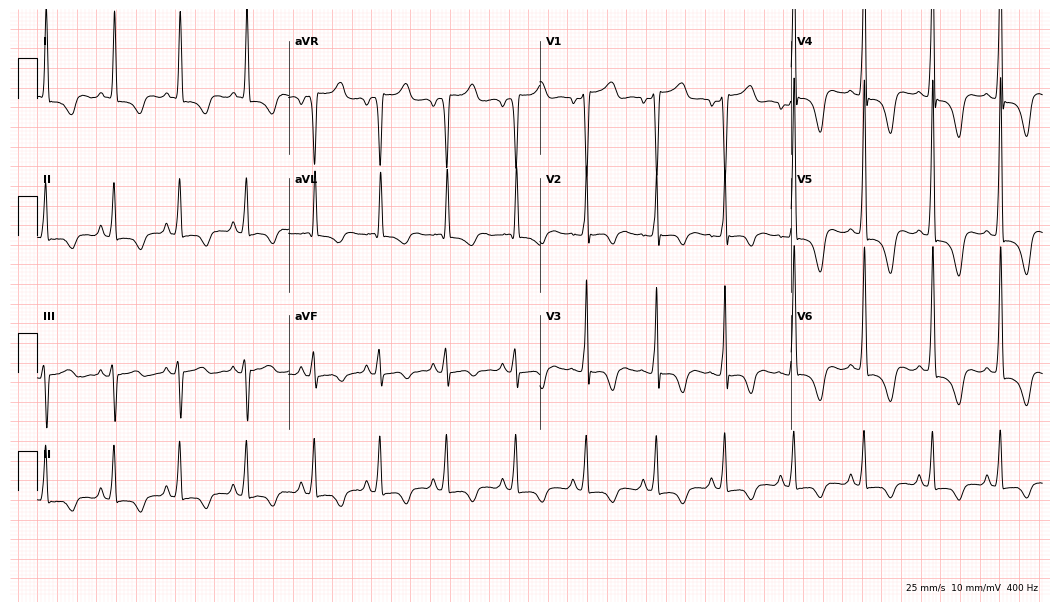
12-lead ECG (10.2-second recording at 400 Hz) from a woman, 45 years old. Screened for six findings — first-degree AV block, right bundle branch block, left bundle branch block, sinus bradycardia, atrial fibrillation, sinus tachycardia — none is recorded.